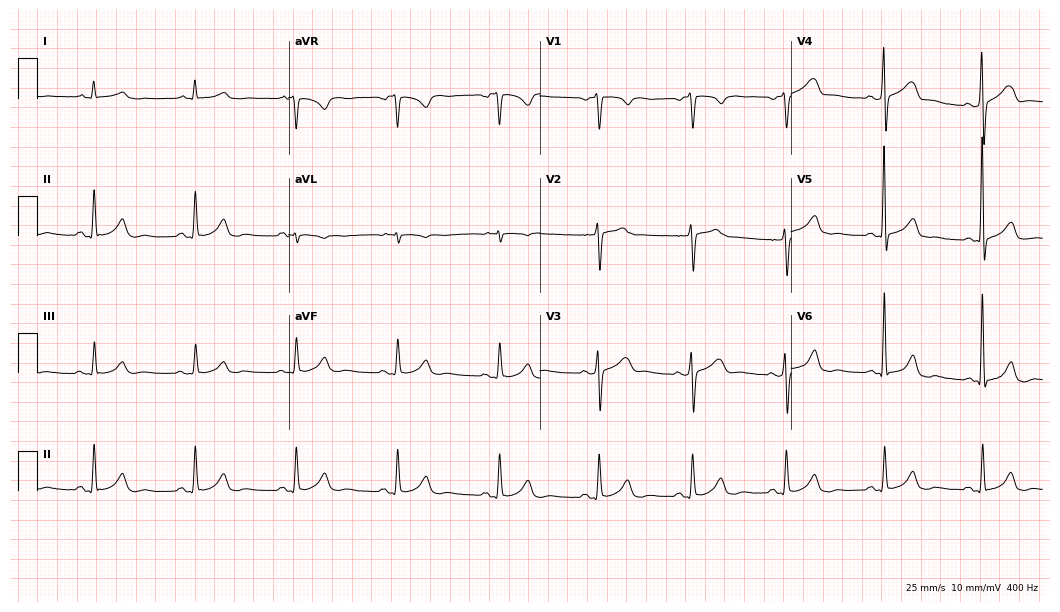
12-lead ECG (10.2-second recording at 400 Hz) from a 56-year-old male patient. Labelled as a normal ECG.